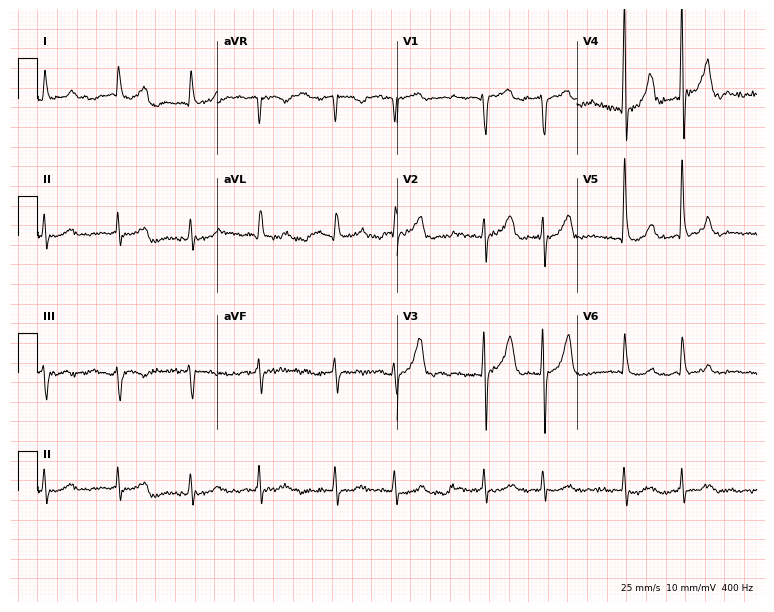
ECG — a male, 68 years old. Findings include atrial fibrillation.